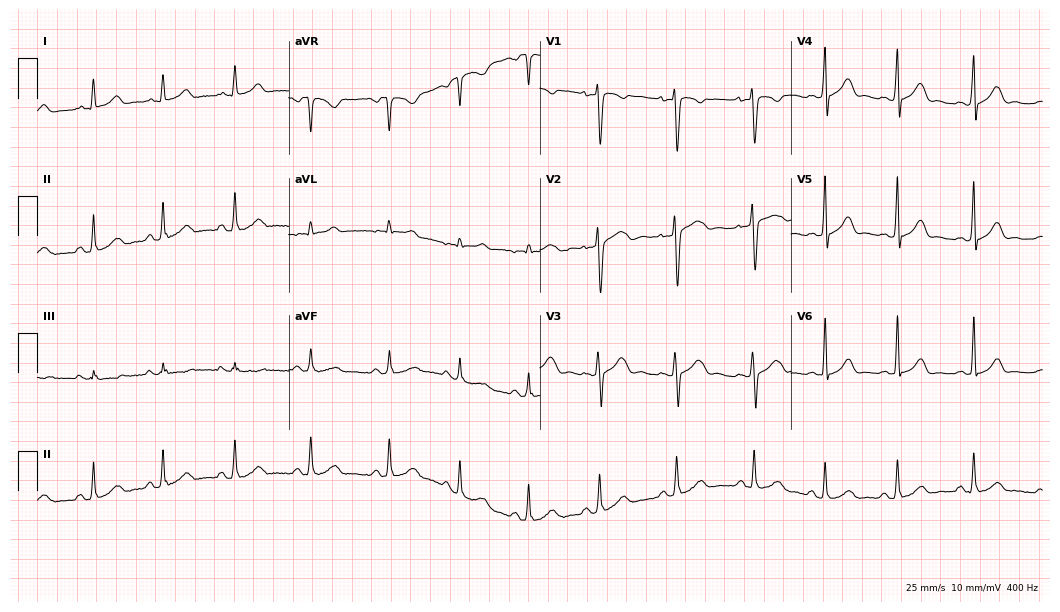
12-lead ECG from a female patient, 28 years old. Labelled as a normal ECG.